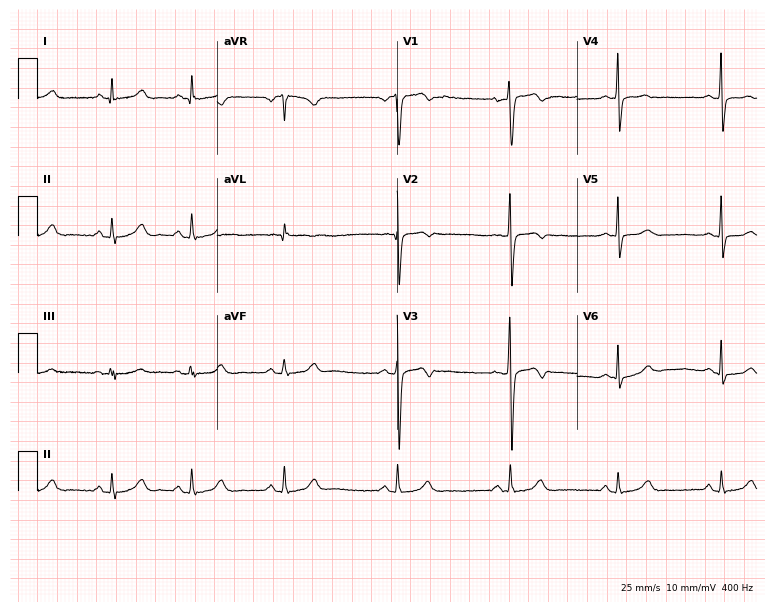
Standard 12-lead ECG recorded from a 28-year-old female (7.3-second recording at 400 Hz). Read as a normal ECG.